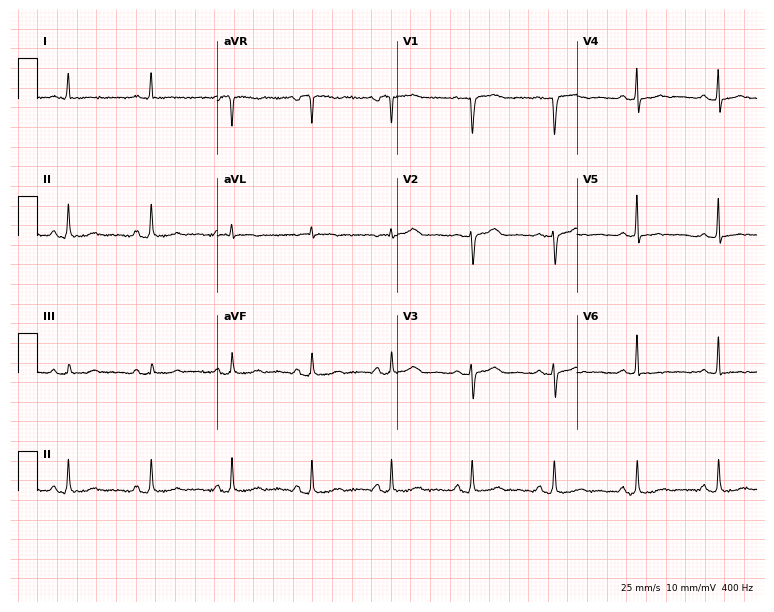
ECG — a female, 70 years old. Screened for six findings — first-degree AV block, right bundle branch block (RBBB), left bundle branch block (LBBB), sinus bradycardia, atrial fibrillation (AF), sinus tachycardia — none is recorded.